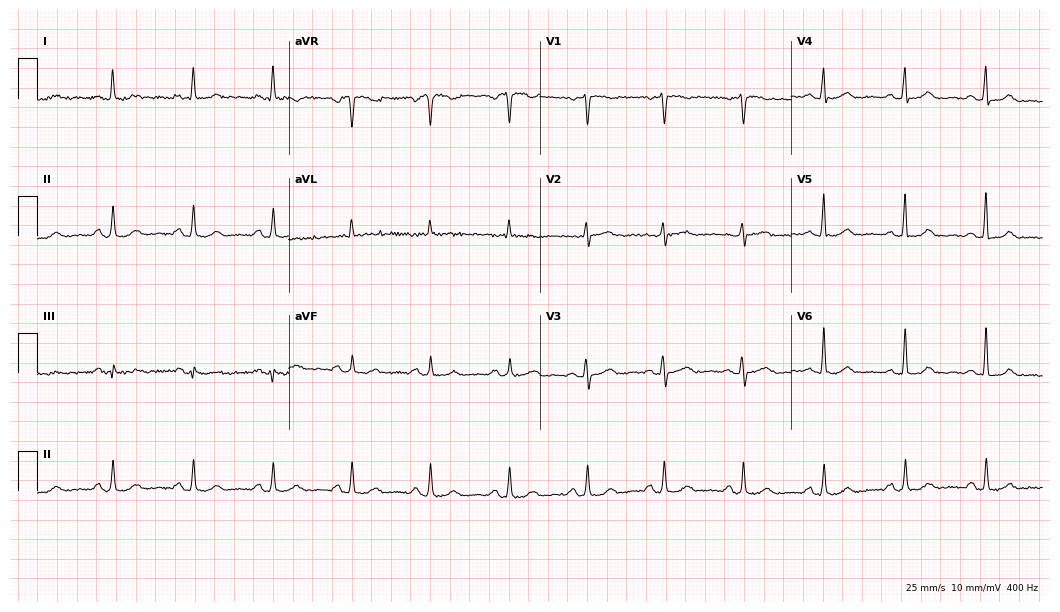
ECG (10.2-second recording at 400 Hz) — a female patient, 60 years old. Labelled as a normal ECG.